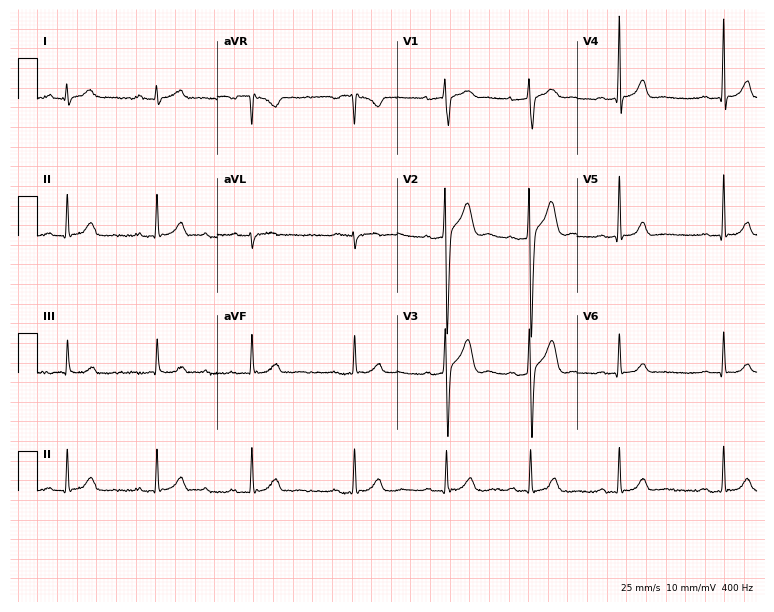
Standard 12-lead ECG recorded from a male patient, 26 years old. None of these six findings is recorded: first-degree AV block, right bundle branch block, left bundle branch block, sinus bradycardia, atrial fibrillation, sinus tachycardia. Only these six findings were labelled.